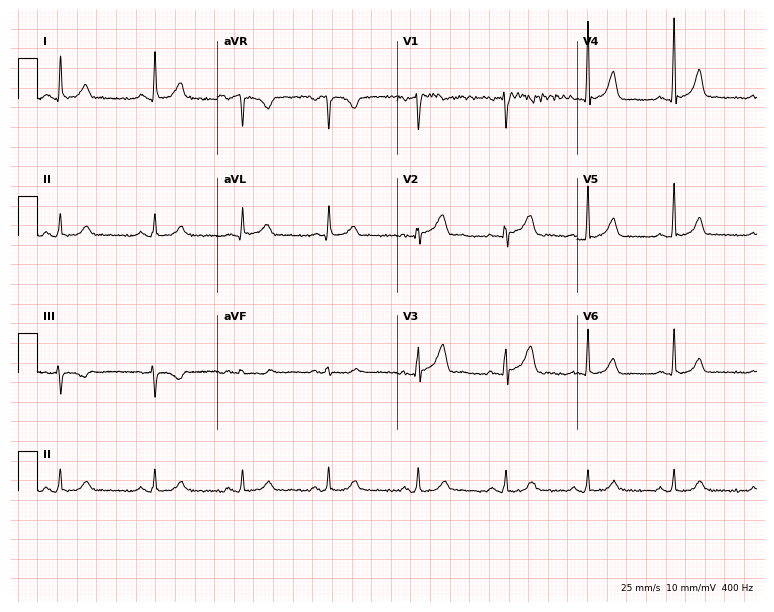
Standard 12-lead ECG recorded from a male patient, 43 years old. Read as a normal ECG.